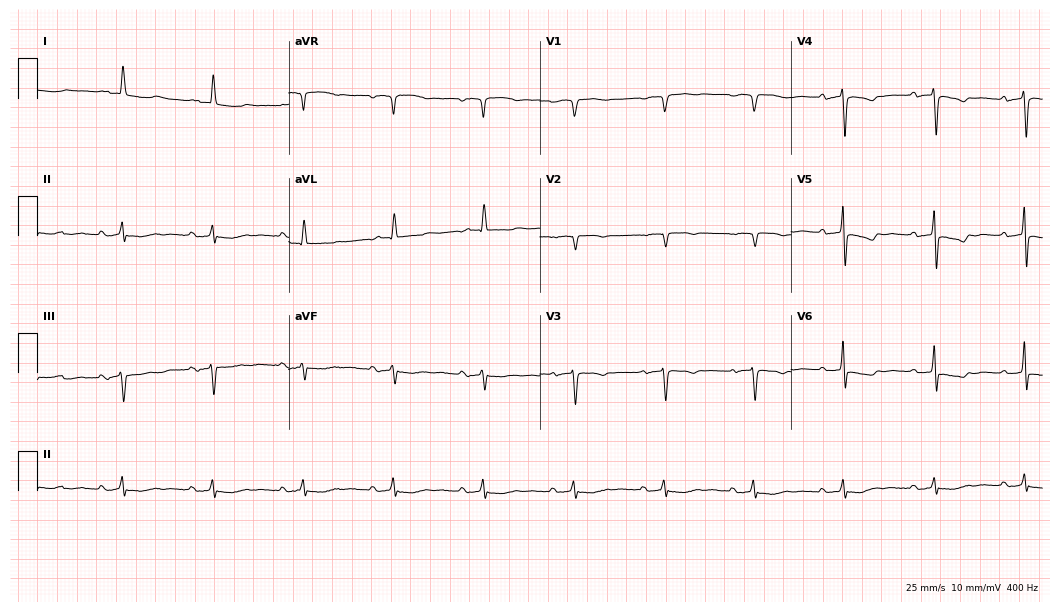
ECG — a female, 72 years old. Screened for six findings — first-degree AV block, right bundle branch block, left bundle branch block, sinus bradycardia, atrial fibrillation, sinus tachycardia — none is recorded. Findings outside these six are not listed.